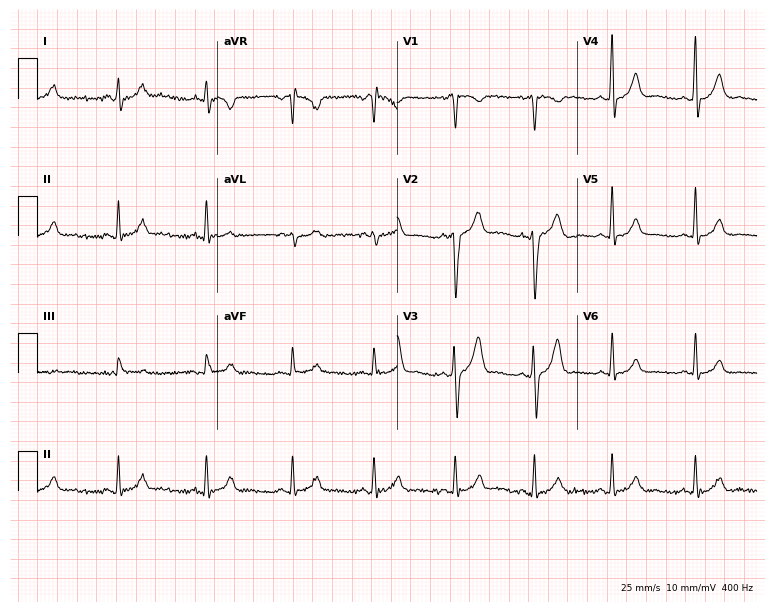
Electrocardiogram, a male, 24 years old. Overall reading on record: normal ECG.